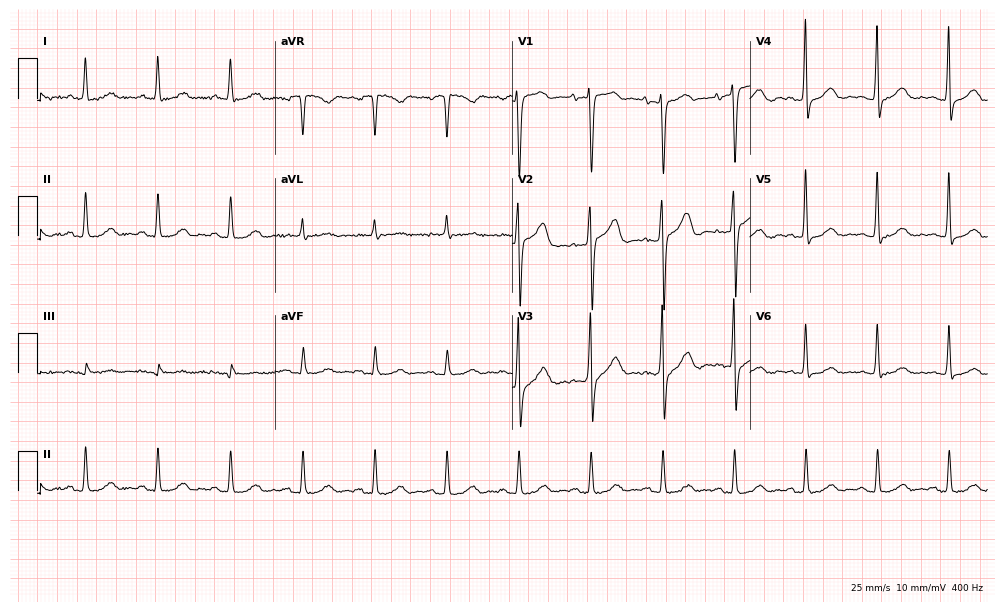
Standard 12-lead ECG recorded from a female patient, 79 years old (9.7-second recording at 400 Hz). Read as a normal ECG.